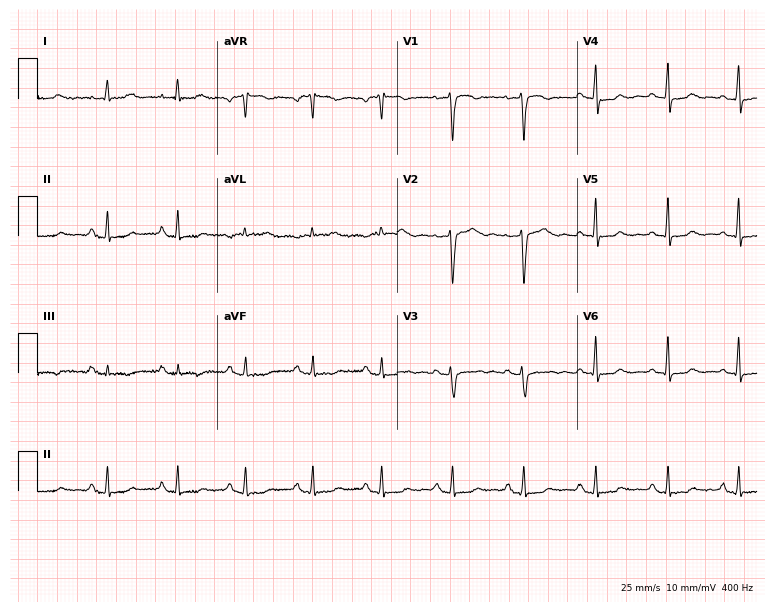
12-lead ECG from a female patient, 49 years old. No first-degree AV block, right bundle branch block (RBBB), left bundle branch block (LBBB), sinus bradycardia, atrial fibrillation (AF) or sinus tachycardia recorded for this tracing. Only these six findings were labelled.